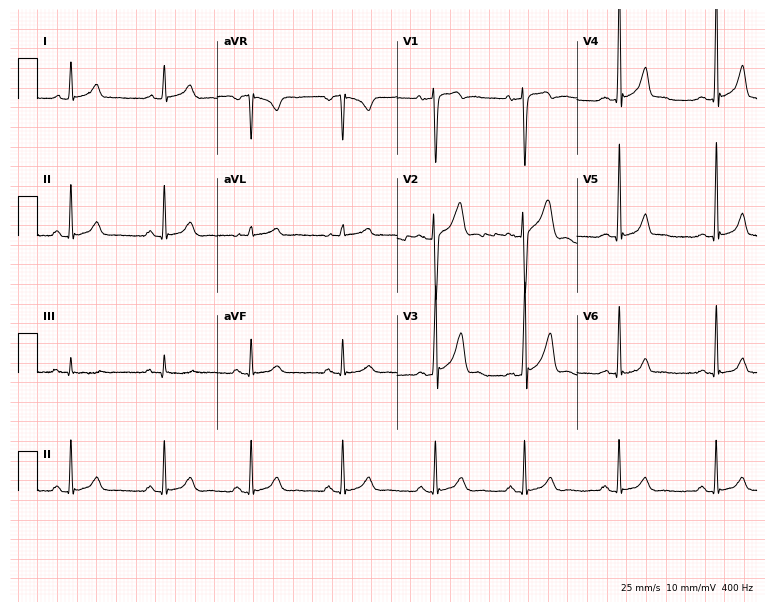
Resting 12-lead electrocardiogram (7.3-second recording at 400 Hz). Patient: a 31-year-old male. None of these six findings is recorded: first-degree AV block, right bundle branch block, left bundle branch block, sinus bradycardia, atrial fibrillation, sinus tachycardia. Other findings, if any, are not listed.